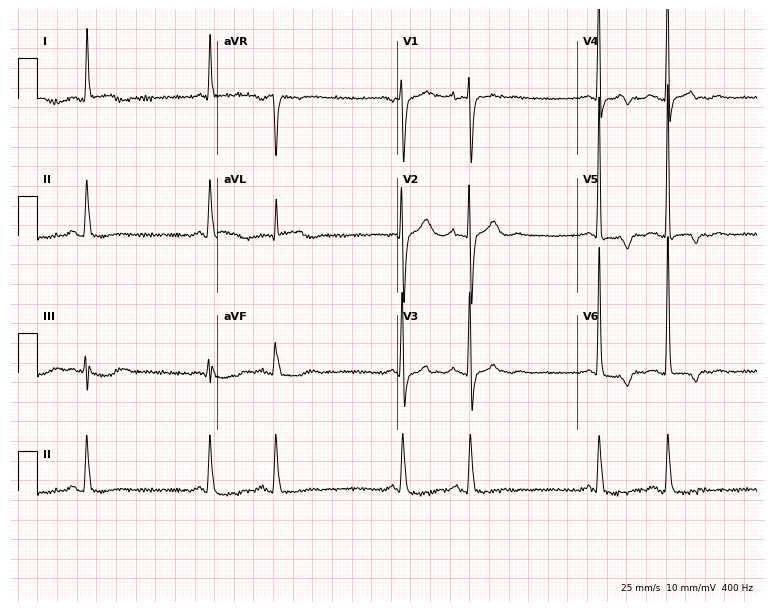
12-lead ECG (7.3-second recording at 400 Hz) from a 70-year-old woman. Screened for six findings — first-degree AV block, right bundle branch block, left bundle branch block, sinus bradycardia, atrial fibrillation, sinus tachycardia — none is recorded.